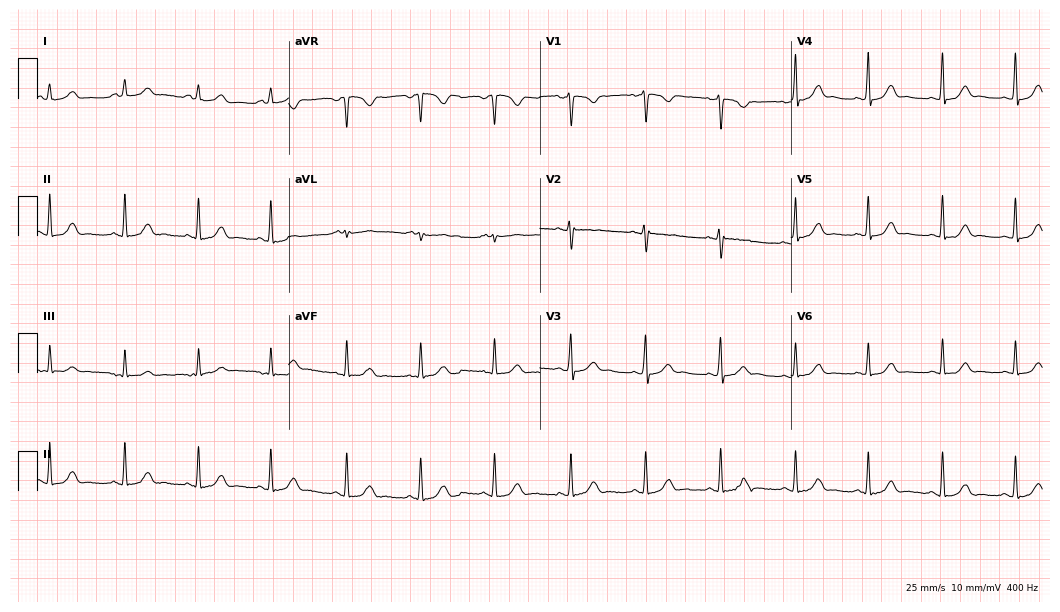
Resting 12-lead electrocardiogram (10.2-second recording at 400 Hz). Patient: a woman, 19 years old. Read as a normal ECG.